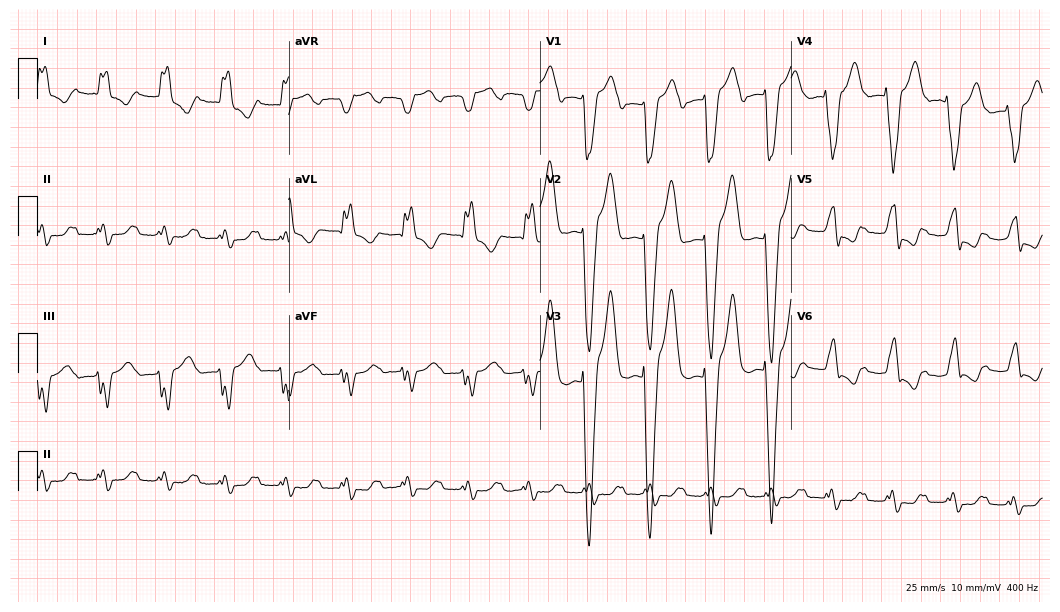
ECG (10.2-second recording at 400 Hz) — a male patient, 83 years old. Findings include first-degree AV block, left bundle branch block.